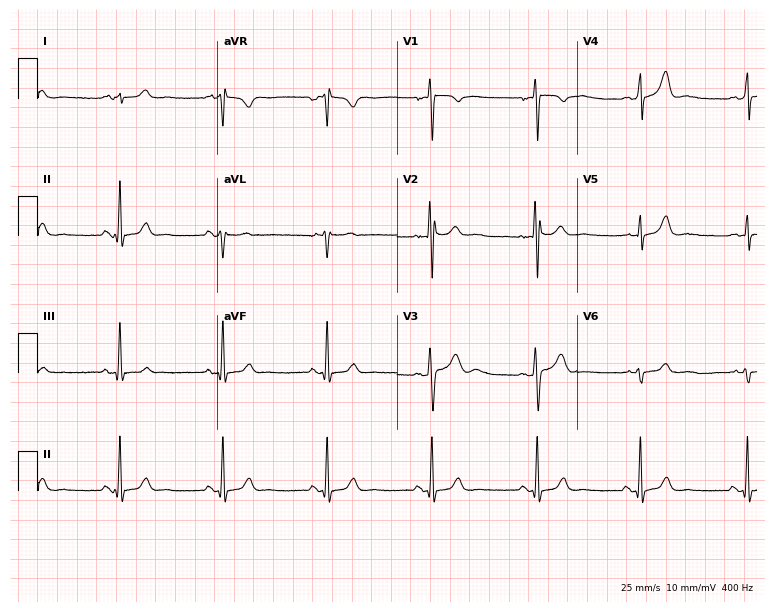
Electrocardiogram, a male, 27 years old. Overall reading on record: normal ECG.